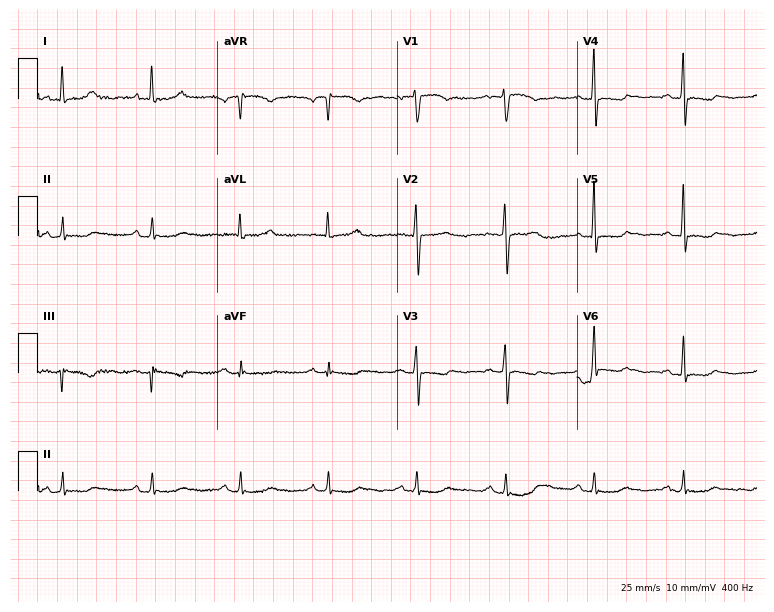
Resting 12-lead electrocardiogram (7.3-second recording at 400 Hz). Patient: a 73-year-old female. None of these six findings is recorded: first-degree AV block, right bundle branch block, left bundle branch block, sinus bradycardia, atrial fibrillation, sinus tachycardia.